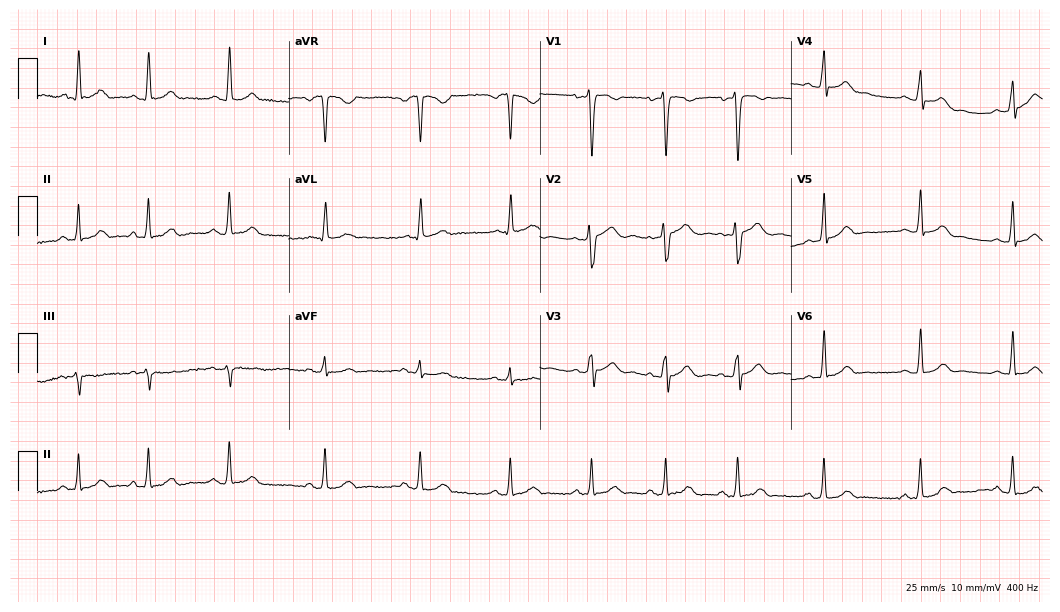
ECG — a 25-year-old female patient. Labelled as a normal ECG.